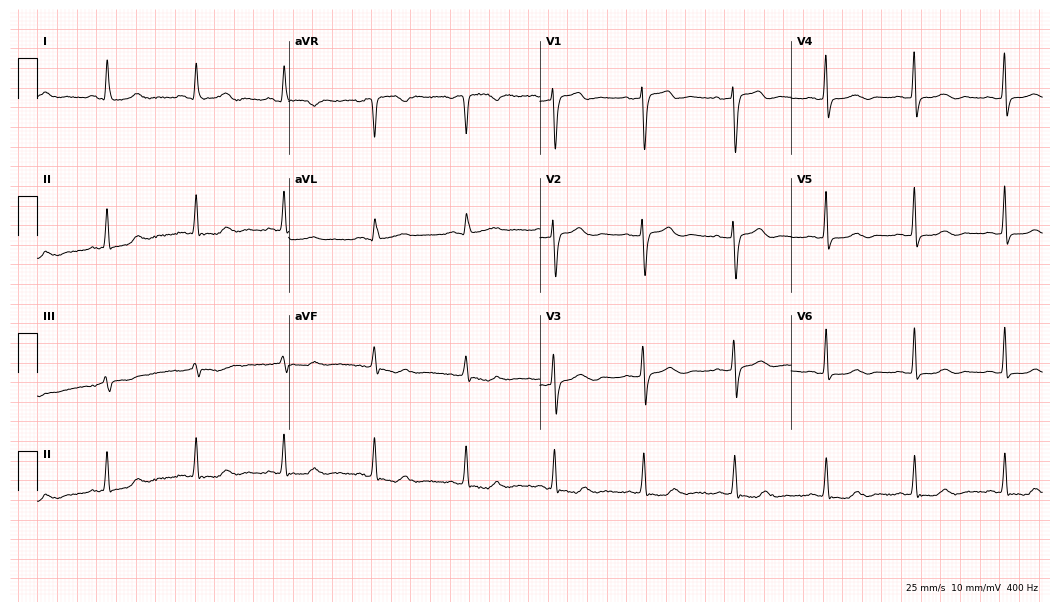
12-lead ECG from a female, 60 years old (10.2-second recording at 400 Hz). No first-degree AV block, right bundle branch block (RBBB), left bundle branch block (LBBB), sinus bradycardia, atrial fibrillation (AF) or sinus tachycardia recorded for this tracing. Other findings, if any, are not listed.